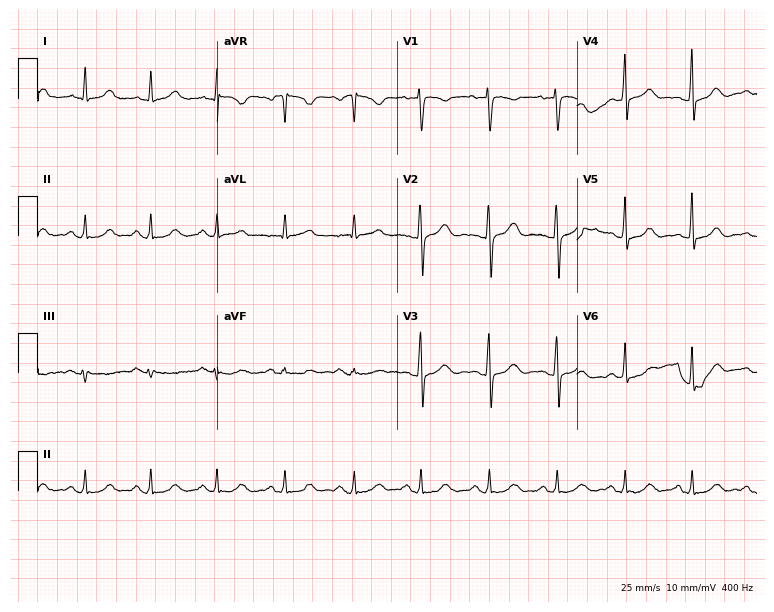
Electrocardiogram, a female, 56 years old. Of the six screened findings (first-degree AV block, right bundle branch block, left bundle branch block, sinus bradycardia, atrial fibrillation, sinus tachycardia), none is recorded.